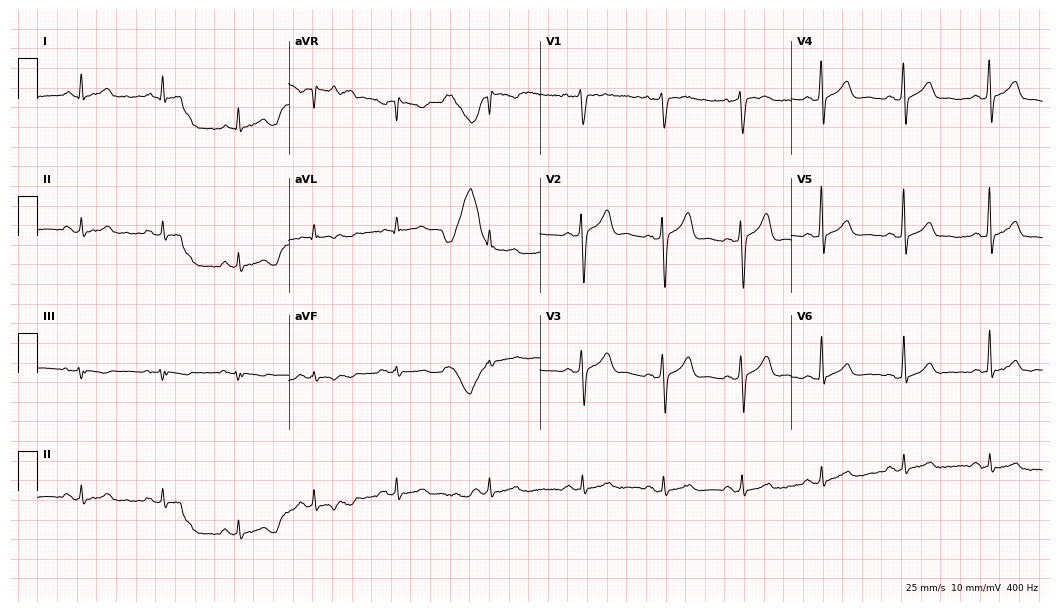
Resting 12-lead electrocardiogram (10.2-second recording at 400 Hz). Patient: a male, 40 years old. Read as a normal ECG.